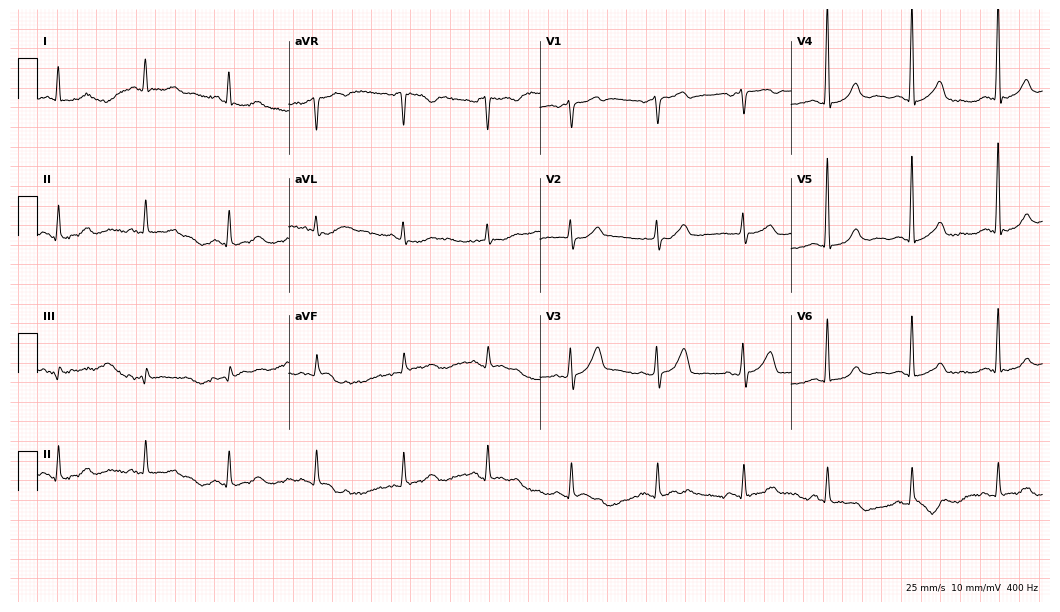
Resting 12-lead electrocardiogram. Patient: a male, 79 years old. Read as a normal ECG.